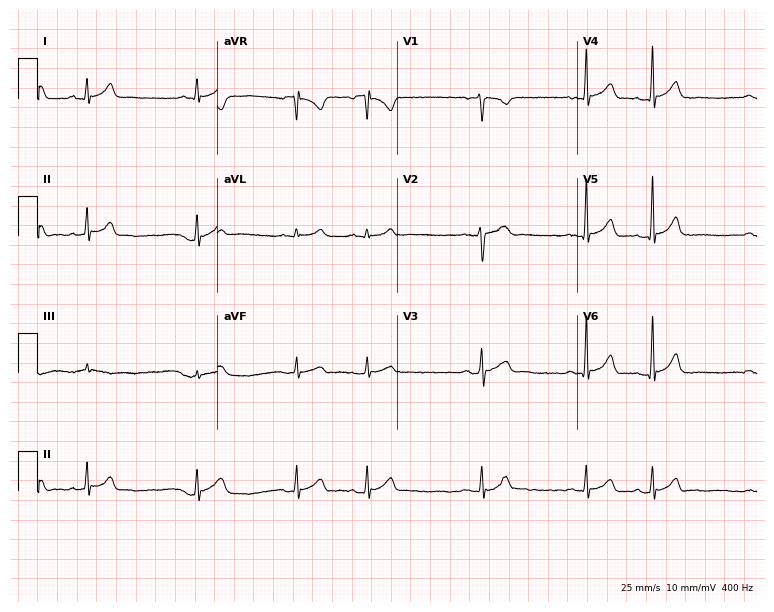
Resting 12-lead electrocardiogram. Patient: a 28-year-old man. None of these six findings is recorded: first-degree AV block, right bundle branch block, left bundle branch block, sinus bradycardia, atrial fibrillation, sinus tachycardia. Findings outside these six are not listed.